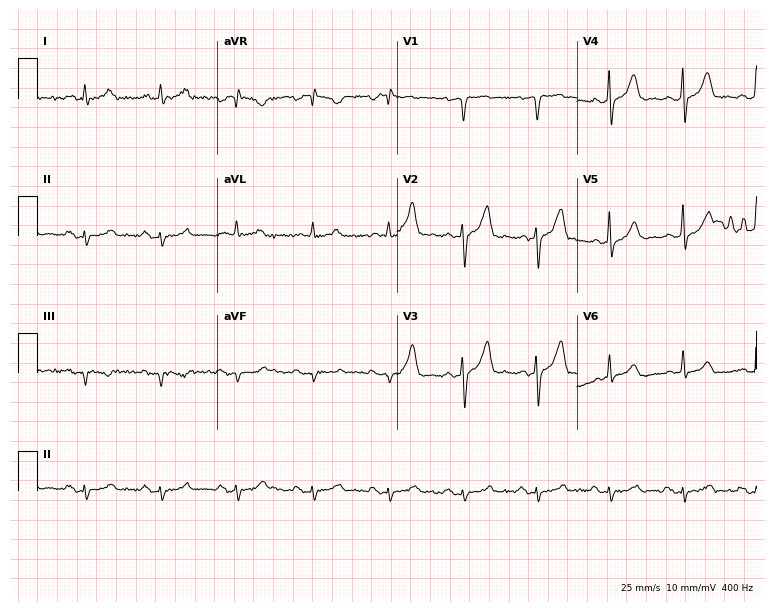
Resting 12-lead electrocardiogram (7.3-second recording at 400 Hz). Patient: a 50-year-old male. None of these six findings is recorded: first-degree AV block, right bundle branch block, left bundle branch block, sinus bradycardia, atrial fibrillation, sinus tachycardia.